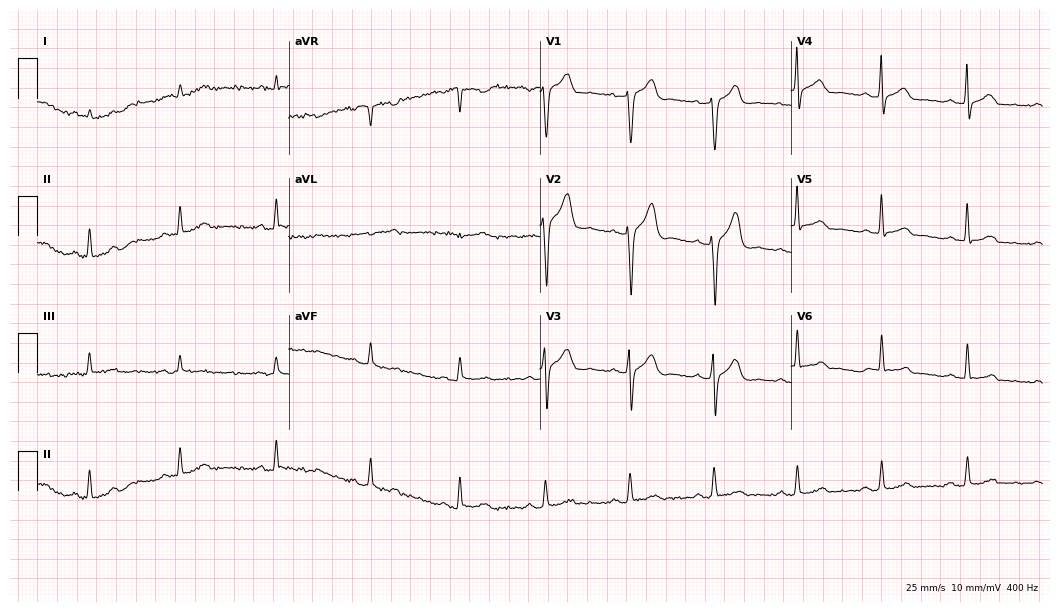
ECG — a man, 44 years old. Labelled as a normal ECG.